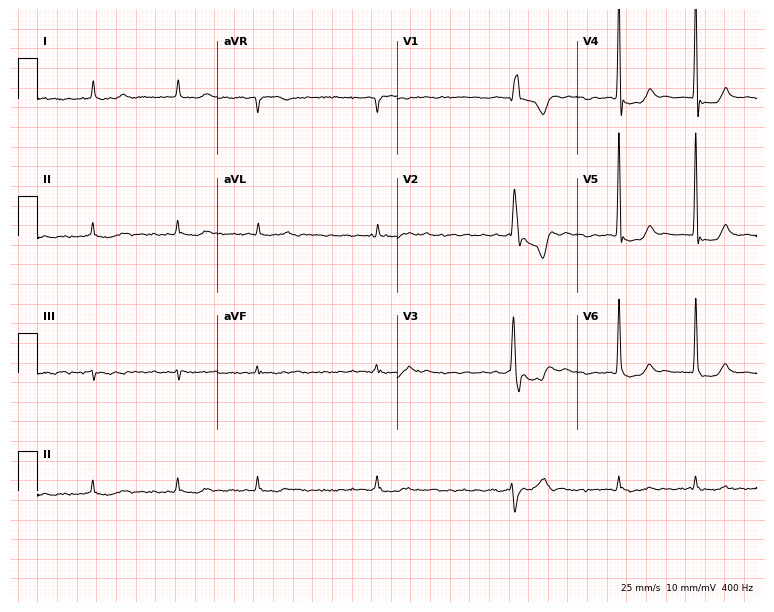
Standard 12-lead ECG recorded from a 75-year-old male patient. The tracing shows atrial fibrillation (AF).